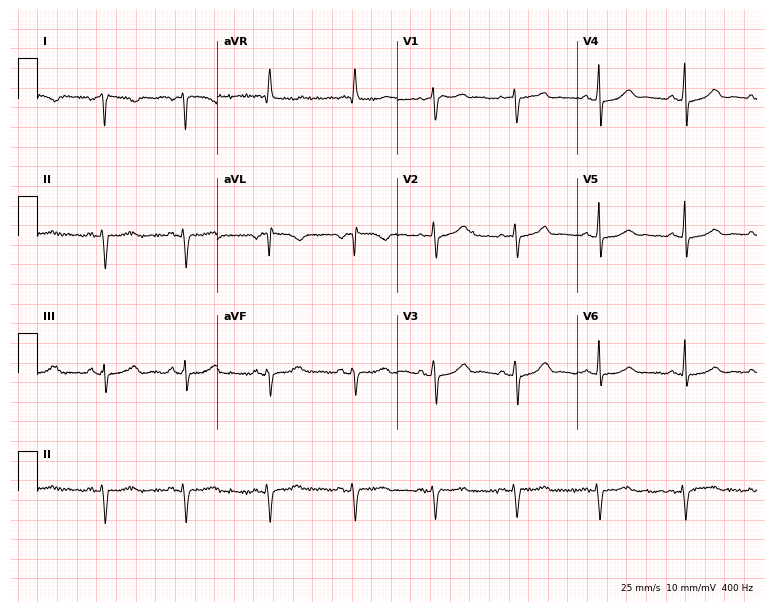
Standard 12-lead ECG recorded from a female patient, 50 years old (7.3-second recording at 400 Hz). None of these six findings is recorded: first-degree AV block, right bundle branch block, left bundle branch block, sinus bradycardia, atrial fibrillation, sinus tachycardia.